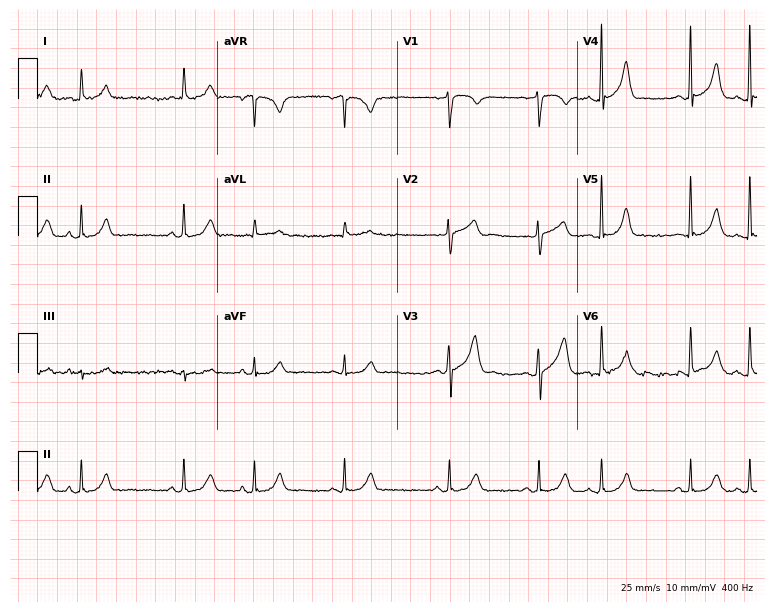
Standard 12-lead ECG recorded from a 73-year-old female patient. None of these six findings is recorded: first-degree AV block, right bundle branch block, left bundle branch block, sinus bradycardia, atrial fibrillation, sinus tachycardia. Findings outside these six are not listed.